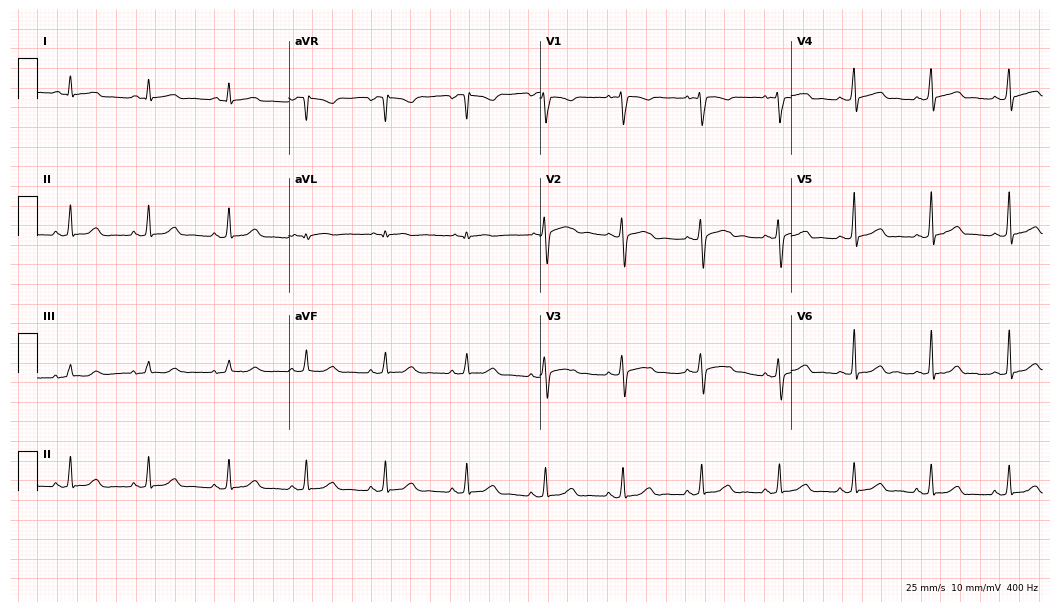
12-lead ECG from a woman, 32 years old (10.2-second recording at 400 Hz). Recorded interpretation: within normal limits.